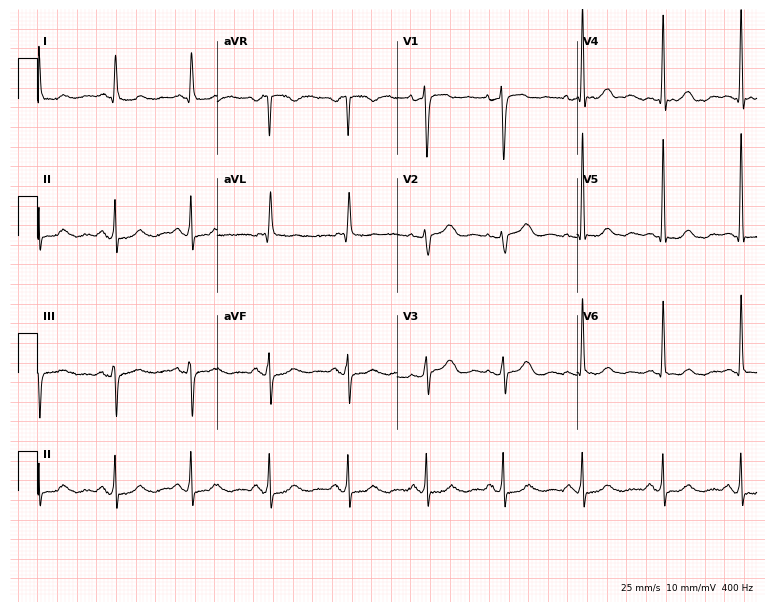
12-lead ECG (7.3-second recording at 400 Hz) from a female, 83 years old. Labelled as a normal ECG.